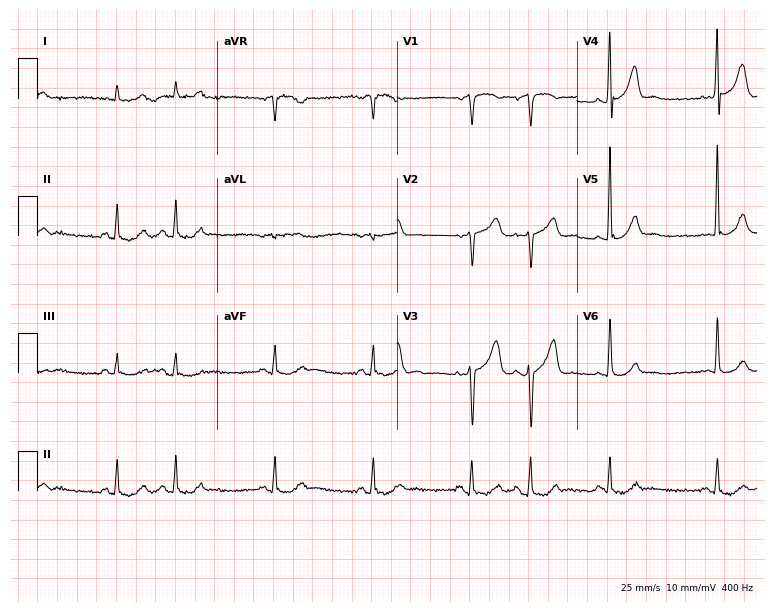
Standard 12-lead ECG recorded from a 78-year-old male patient (7.3-second recording at 400 Hz). None of these six findings is recorded: first-degree AV block, right bundle branch block, left bundle branch block, sinus bradycardia, atrial fibrillation, sinus tachycardia.